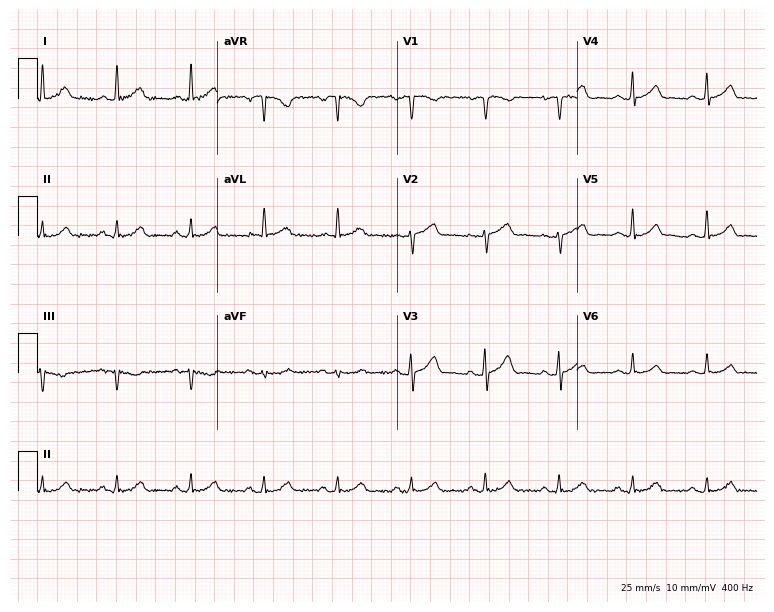
Electrocardiogram (7.3-second recording at 400 Hz), an 83-year-old woman. Overall reading on record: normal ECG.